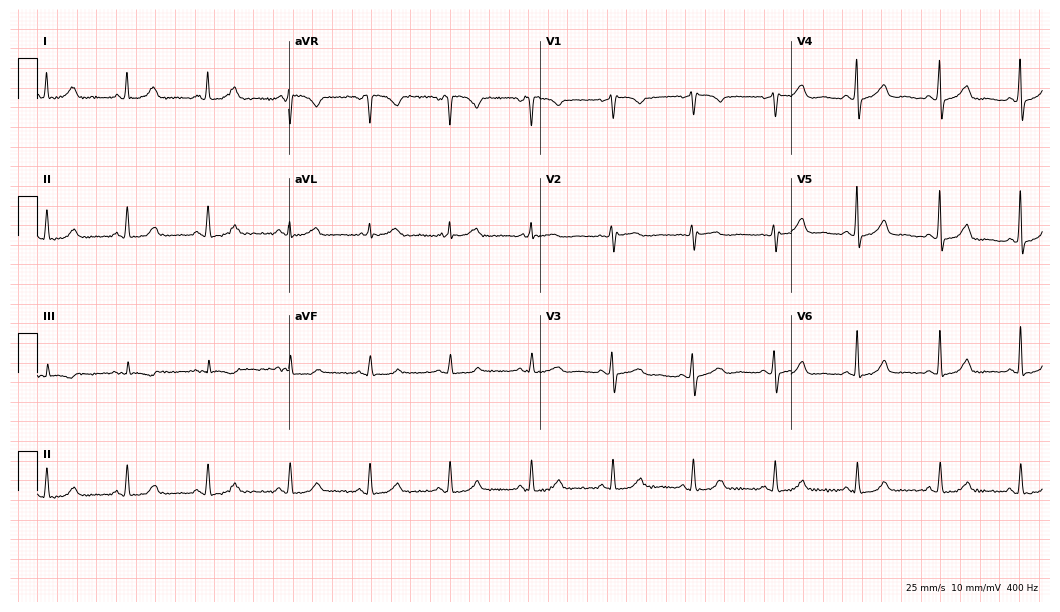
12-lead ECG from a woman, 63 years old (10.2-second recording at 400 Hz). Recorded interpretation: within normal limits.